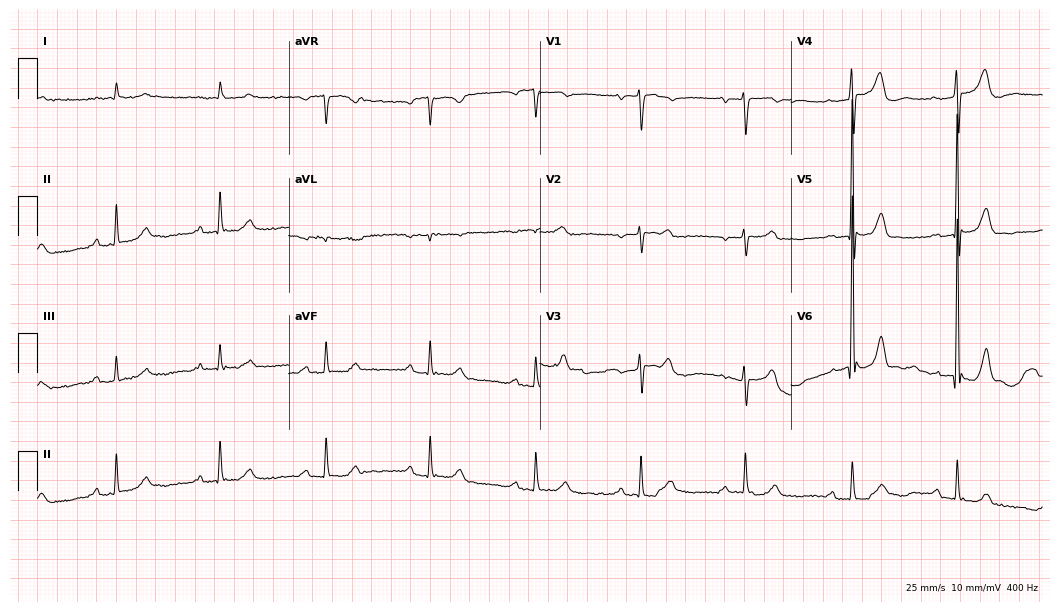
Resting 12-lead electrocardiogram. Patient: an 84-year-old male. The tracing shows first-degree AV block.